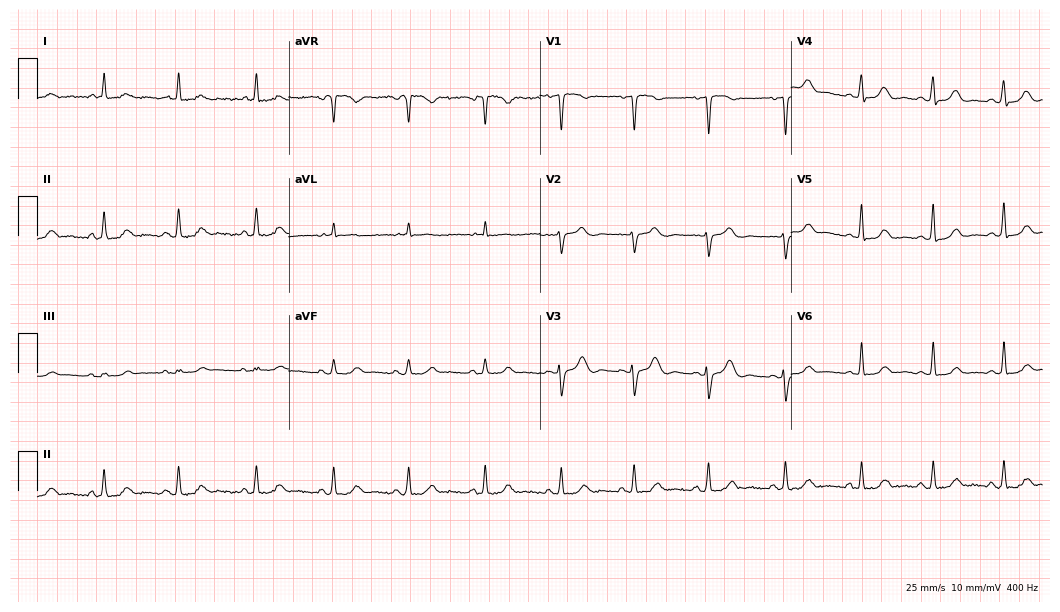
Resting 12-lead electrocardiogram (10.2-second recording at 400 Hz). Patient: a 45-year-old woman. Read as a normal ECG.